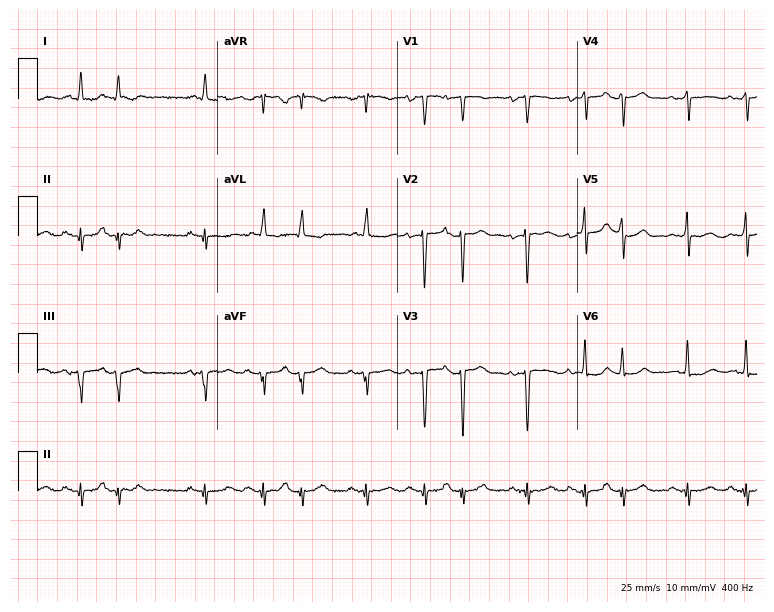
Electrocardiogram, a woman, 84 years old. Of the six screened findings (first-degree AV block, right bundle branch block, left bundle branch block, sinus bradycardia, atrial fibrillation, sinus tachycardia), none is recorded.